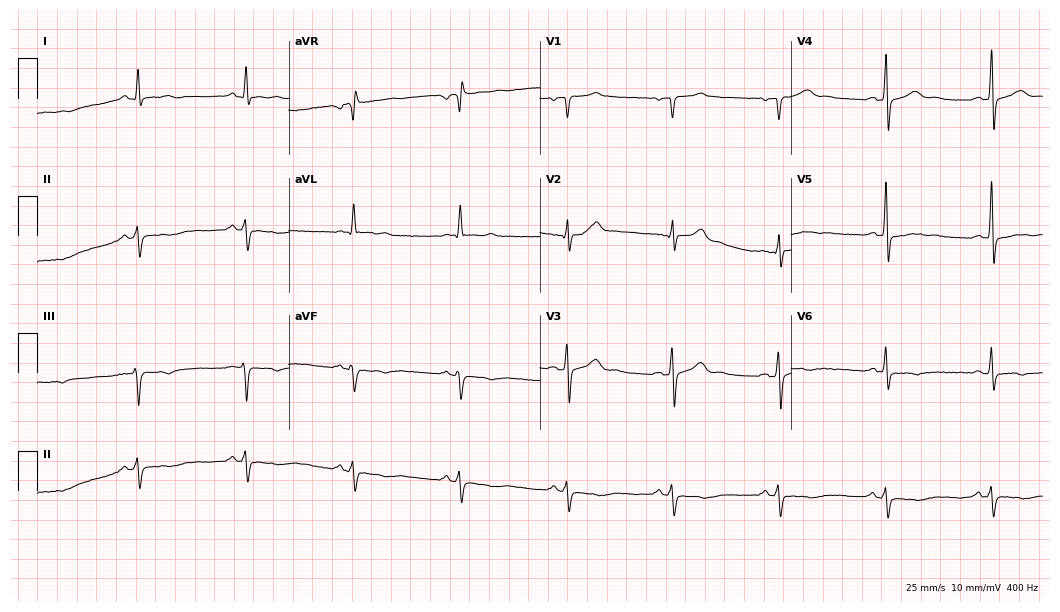
ECG — a 63-year-old male patient. Screened for six findings — first-degree AV block, right bundle branch block (RBBB), left bundle branch block (LBBB), sinus bradycardia, atrial fibrillation (AF), sinus tachycardia — none is recorded.